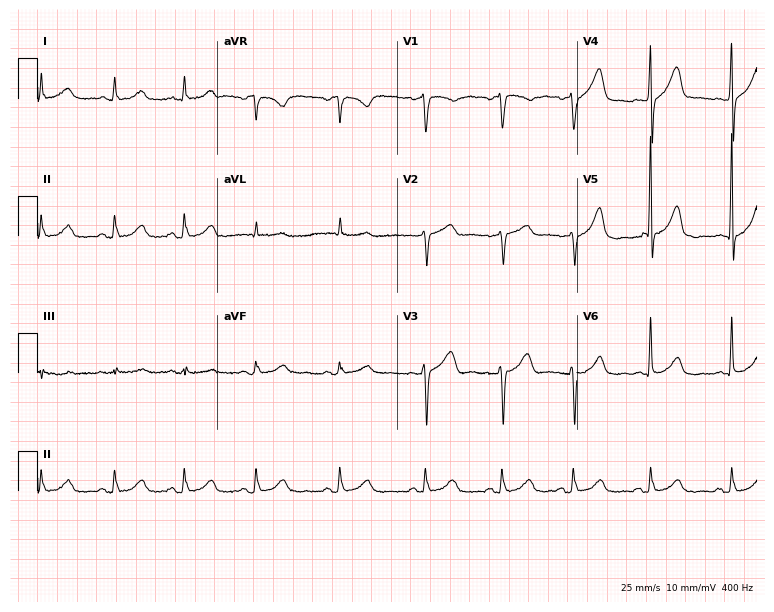
ECG — a 45-year-old male. Labelled as a normal ECG.